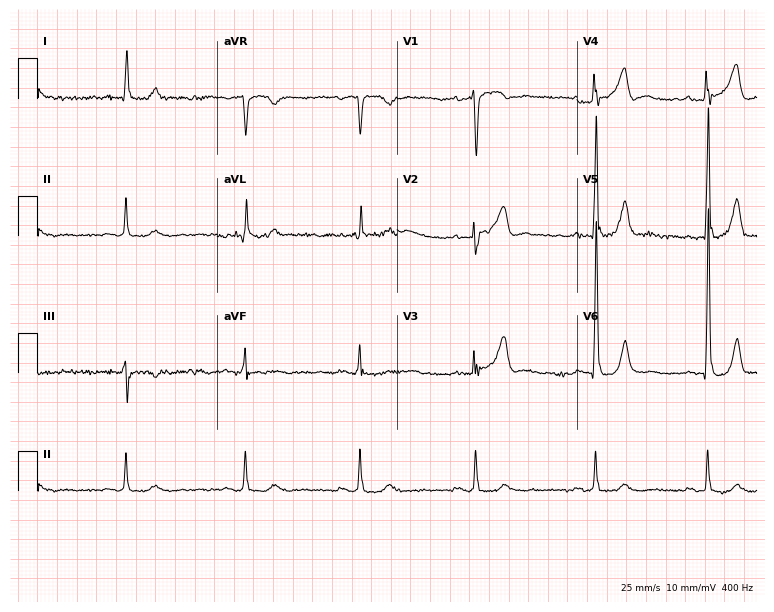
12-lead ECG (7.3-second recording at 400 Hz) from a male, 82 years old. Screened for six findings — first-degree AV block, right bundle branch block, left bundle branch block, sinus bradycardia, atrial fibrillation, sinus tachycardia — none is recorded. Findings outside these six are not listed.